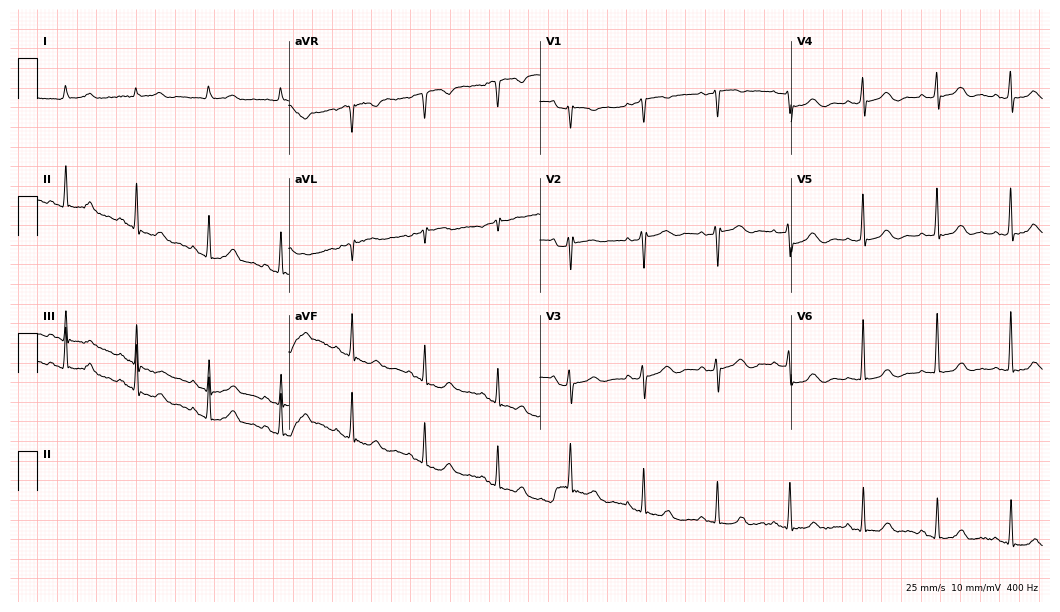
ECG (10.2-second recording at 400 Hz) — a female patient, 72 years old. Screened for six findings — first-degree AV block, right bundle branch block, left bundle branch block, sinus bradycardia, atrial fibrillation, sinus tachycardia — none is recorded.